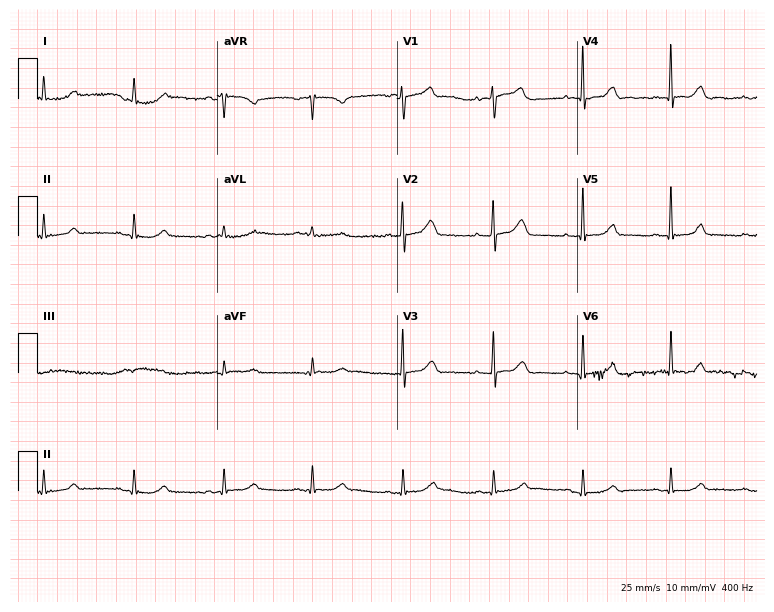
Electrocardiogram, a woman, 67 years old. Overall reading on record: normal ECG.